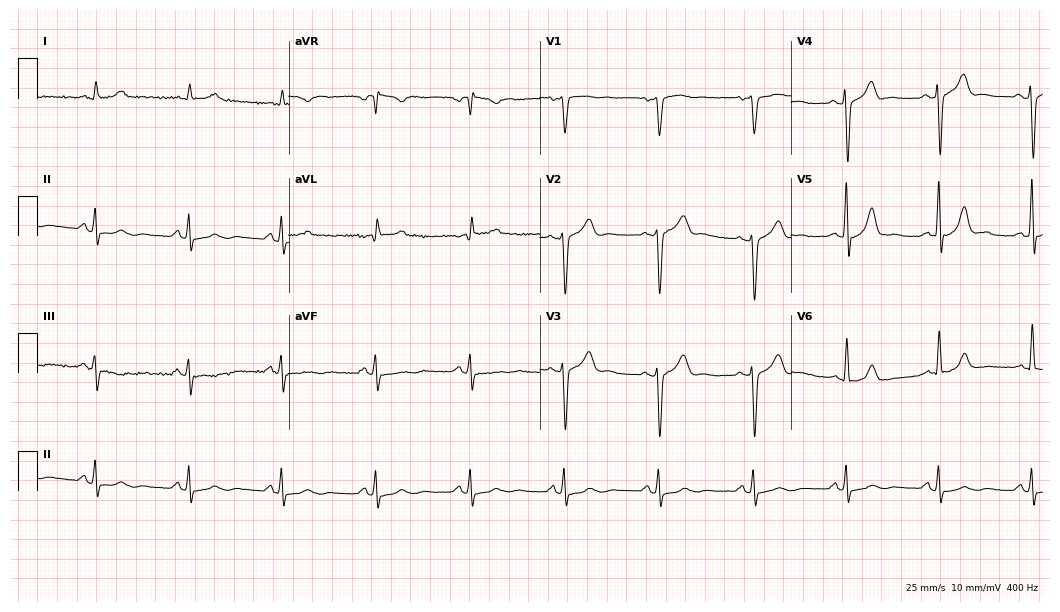
ECG — a male, 59 years old. Labelled as a normal ECG.